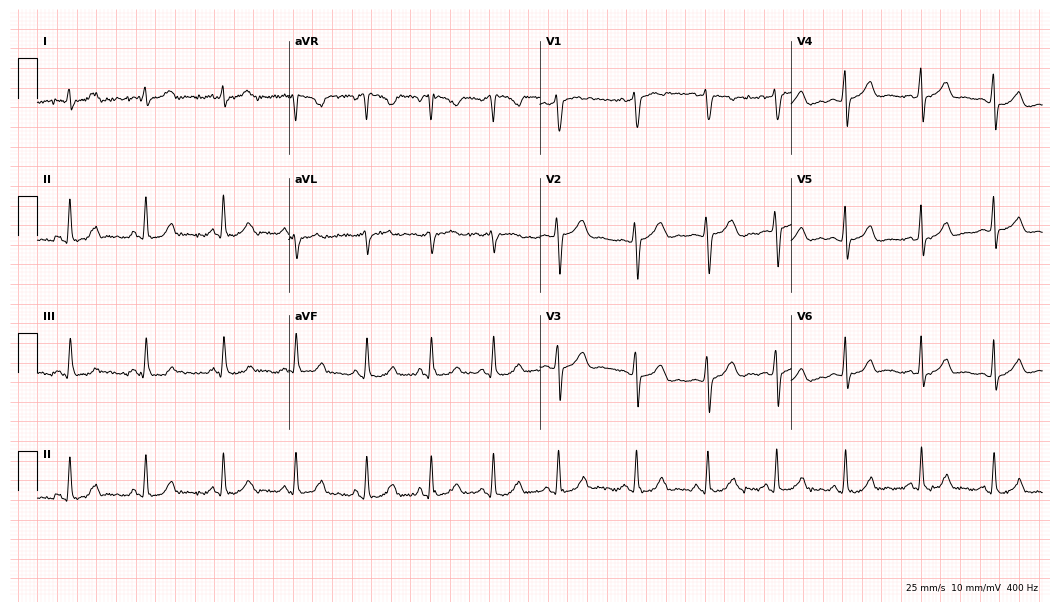
ECG (10.2-second recording at 400 Hz) — a female patient, 28 years old. Screened for six findings — first-degree AV block, right bundle branch block (RBBB), left bundle branch block (LBBB), sinus bradycardia, atrial fibrillation (AF), sinus tachycardia — none is recorded.